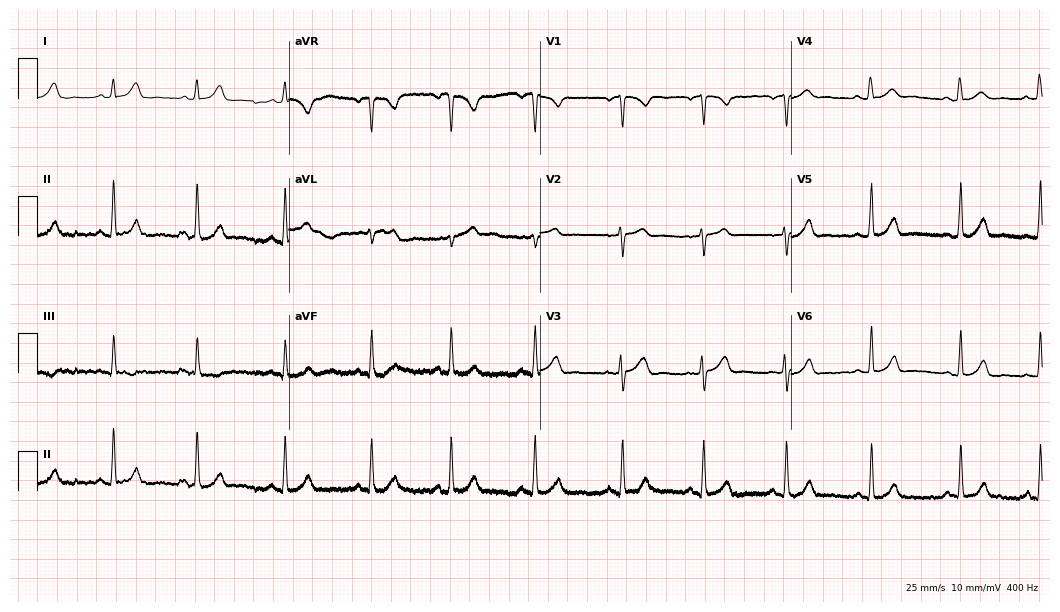
Electrocardiogram (10.2-second recording at 400 Hz), a 21-year-old woman. Of the six screened findings (first-degree AV block, right bundle branch block, left bundle branch block, sinus bradycardia, atrial fibrillation, sinus tachycardia), none is recorded.